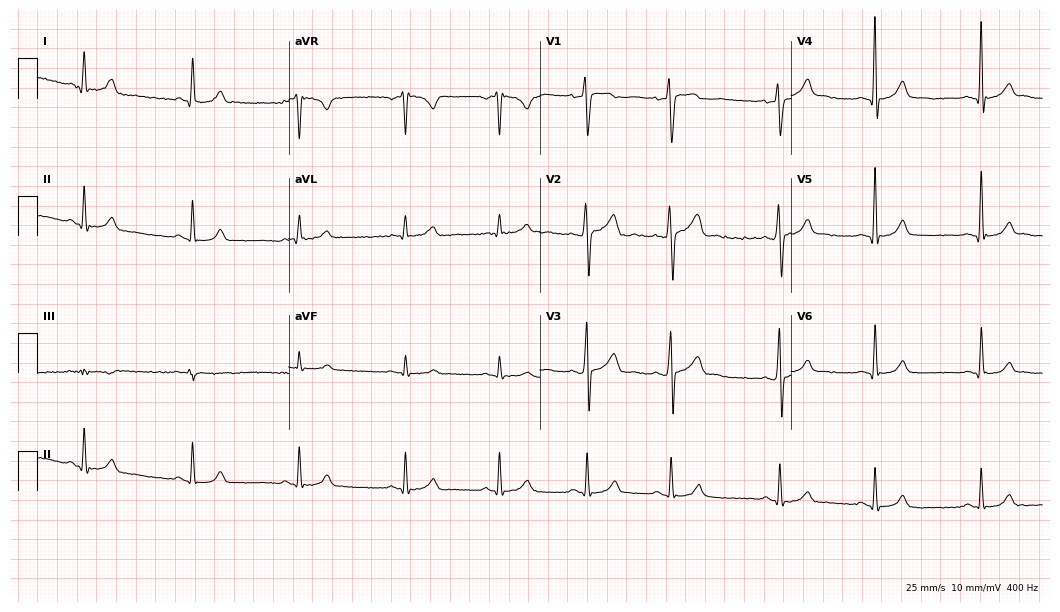
Standard 12-lead ECG recorded from a male, 21 years old. Read as a normal ECG.